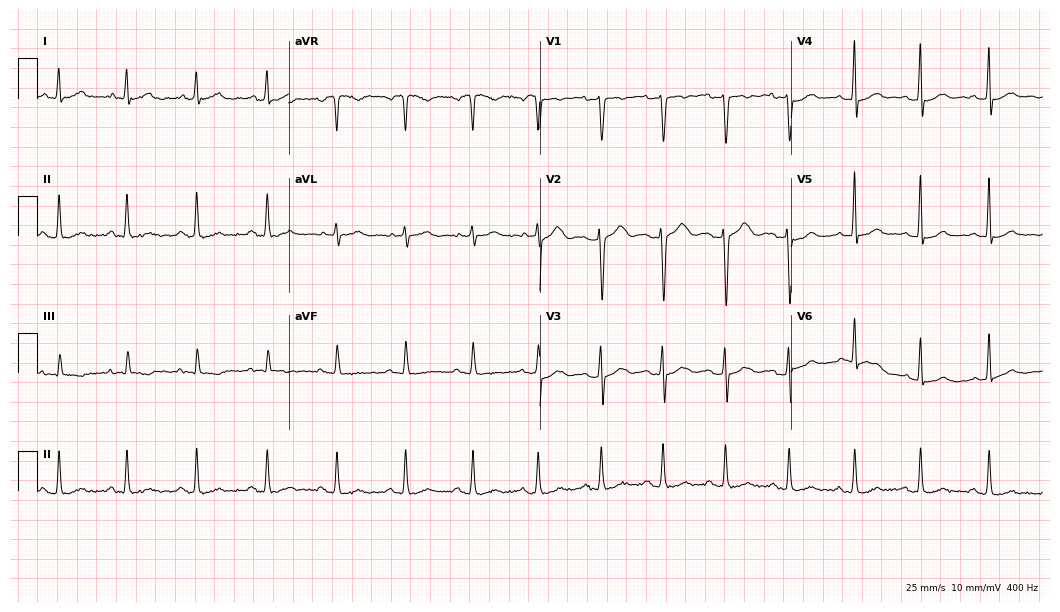
Resting 12-lead electrocardiogram (10.2-second recording at 400 Hz). Patient: a 30-year-old woman. None of these six findings is recorded: first-degree AV block, right bundle branch block (RBBB), left bundle branch block (LBBB), sinus bradycardia, atrial fibrillation (AF), sinus tachycardia. Only these six findings were labelled.